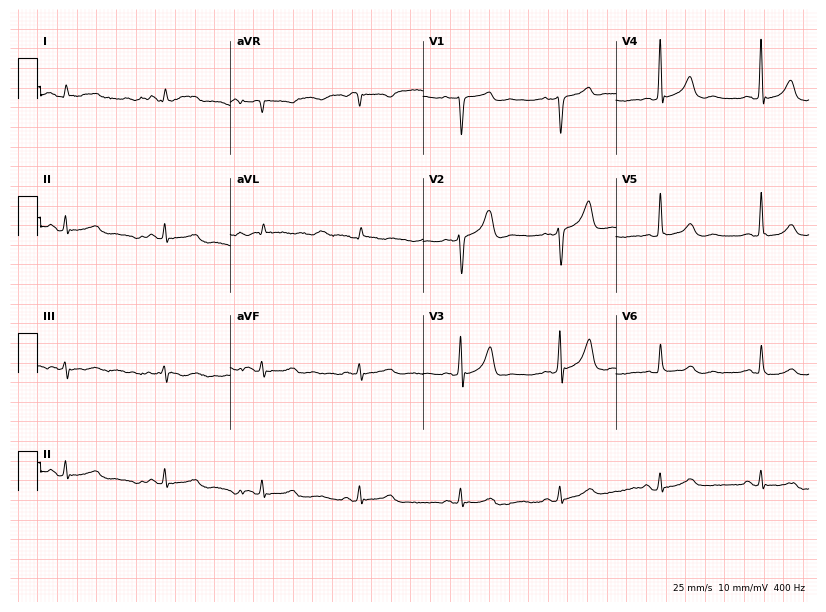
12-lead ECG from a male, 80 years old. No first-degree AV block, right bundle branch block (RBBB), left bundle branch block (LBBB), sinus bradycardia, atrial fibrillation (AF) or sinus tachycardia recorded for this tracing.